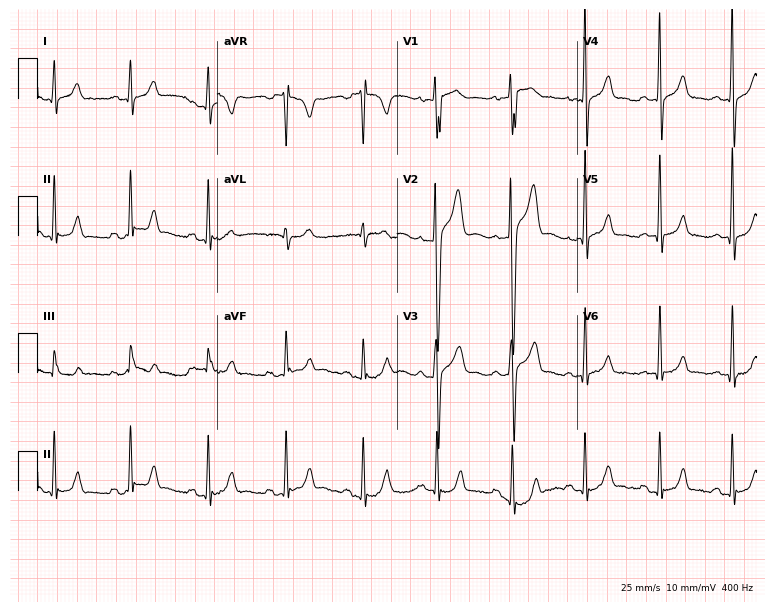
Standard 12-lead ECG recorded from a 21-year-old male patient. Read as a normal ECG.